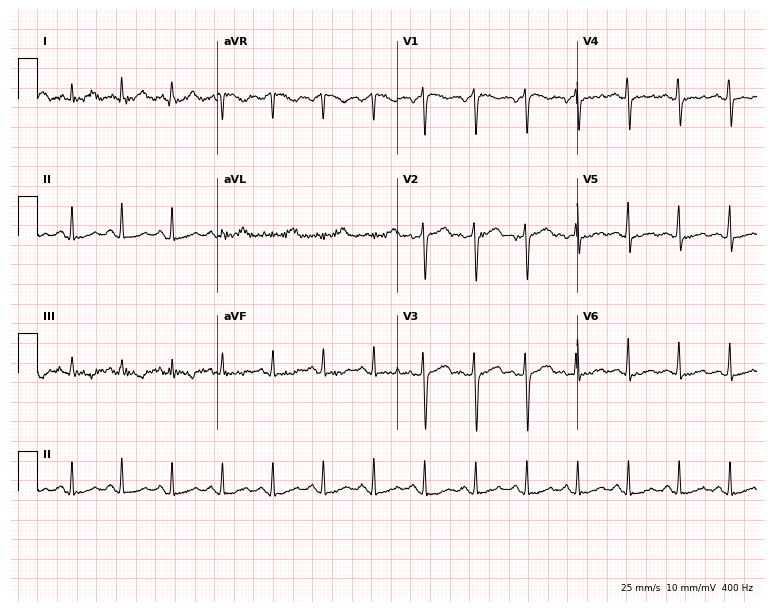
Standard 12-lead ECG recorded from a female patient, 37 years old. The tracing shows sinus tachycardia (a sinus rate of 100 beats per minute or more).